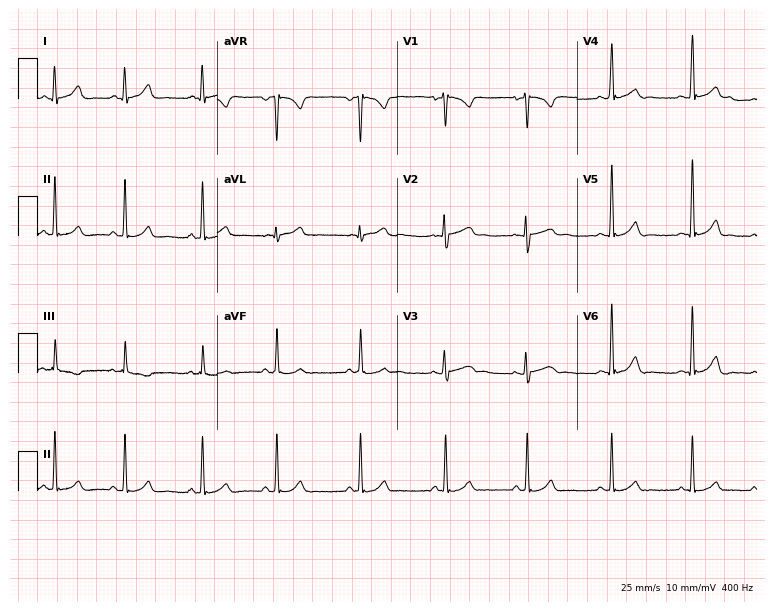
12-lead ECG (7.3-second recording at 400 Hz) from a female patient, 19 years old. Screened for six findings — first-degree AV block, right bundle branch block (RBBB), left bundle branch block (LBBB), sinus bradycardia, atrial fibrillation (AF), sinus tachycardia — none is recorded.